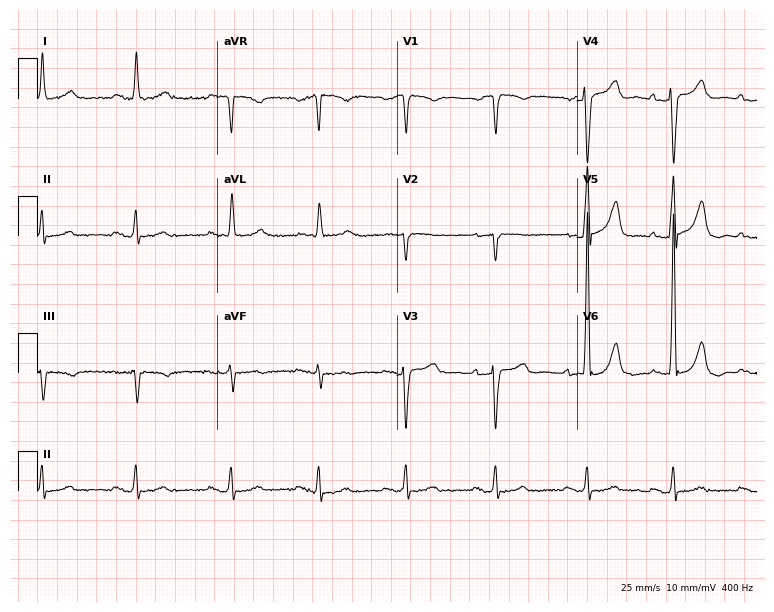
Standard 12-lead ECG recorded from a male, 67 years old. Read as a normal ECG.